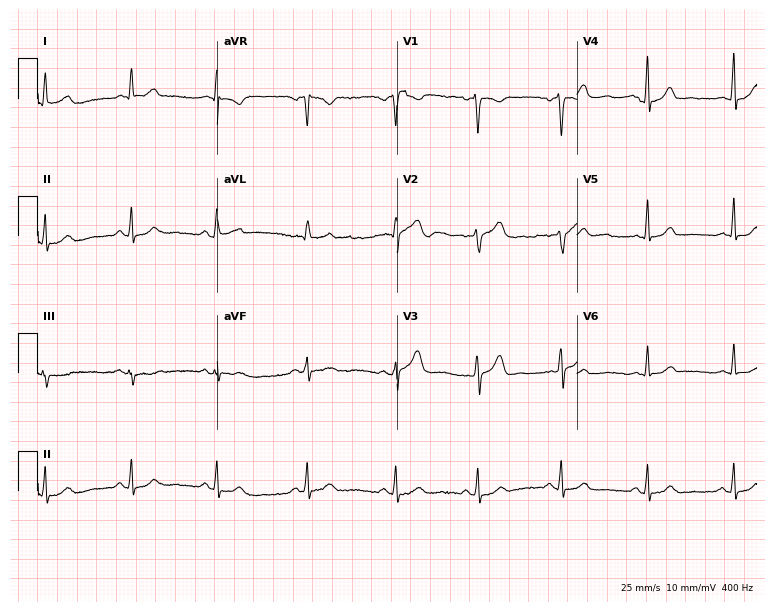
Standard 12-lead ECG recorded from a 35-year-old female patient. None of these six findings is recorded: first-degree AV block, right bundle branch block (RBBB), left bundle branch block (LBBB), sinus bradycardia, atrial fibrillation (AF), sinus tachycardia. Only these six findings were labelled.